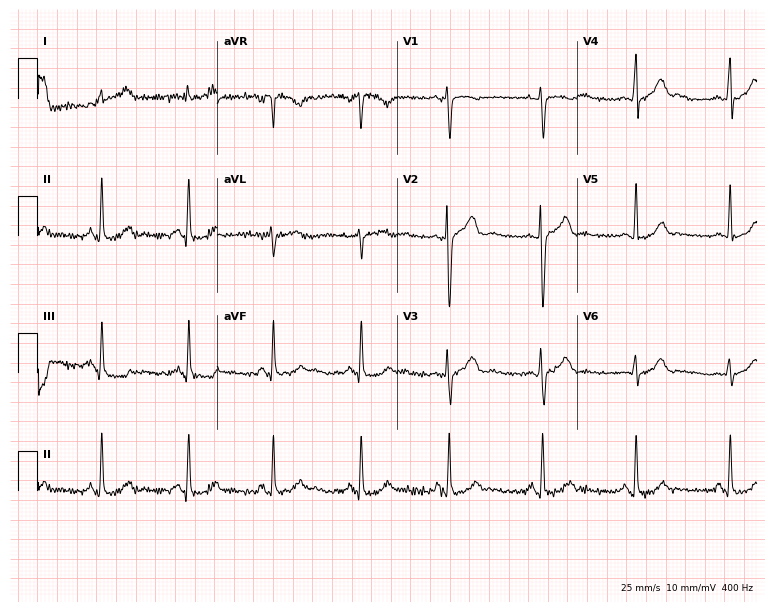
Resting 12-lead electrocardiogram. Patient: a female, 28 years old. None of these six findings is recorded: first-degree AV block, right bundle branch block, left bundle branch block, sinus bradycardia, atrial fibrillation, sinus tachycardia. Other findings, if any, are not listed.